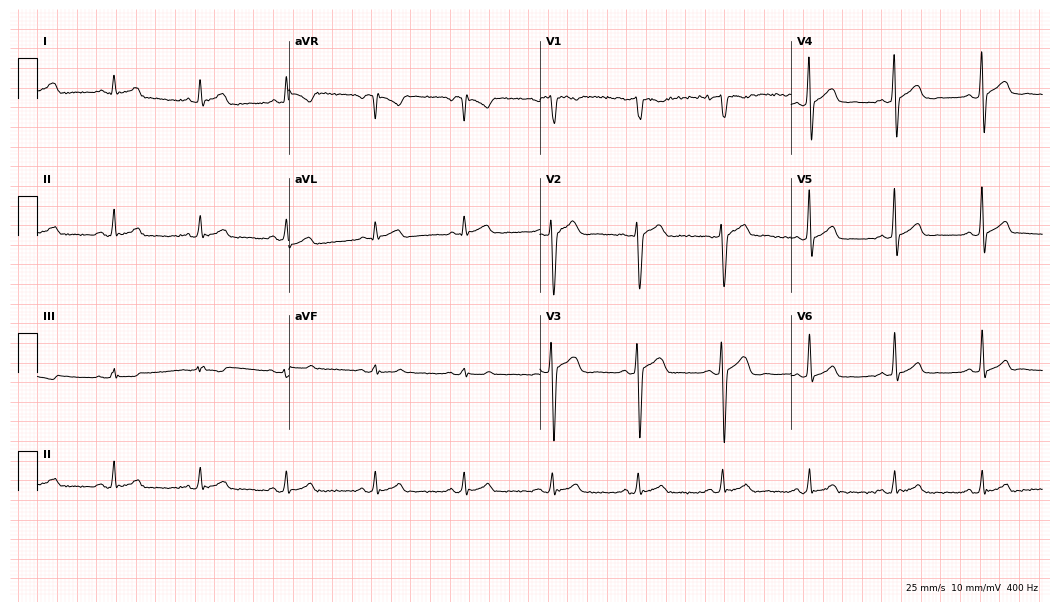
Electrocardiogram, a 38-year-old male patient. Overall reading on record: normal ECG.